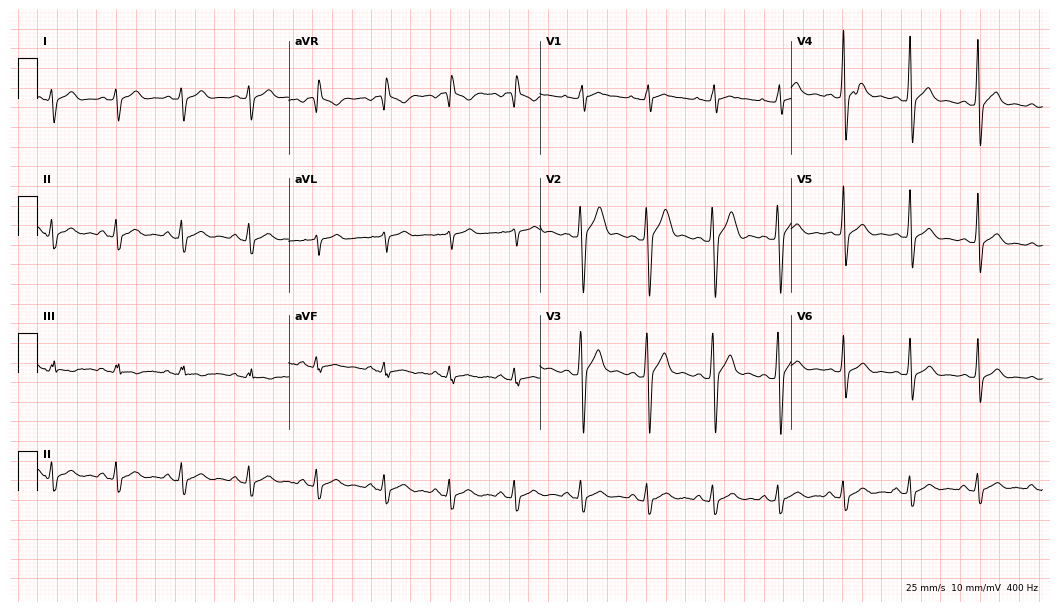
Electrocardiogram (10.2-second recording at 400 Hz), a 29-year-old male. Of the six screened findings (first-degree AV block, right bundle branch block (RBBB), left bundle branch block (LBBB), sinus bradycardia, atrial fibrillation (AF), sinus tachycardia), none is recorded. Findings outside these six are not listed.